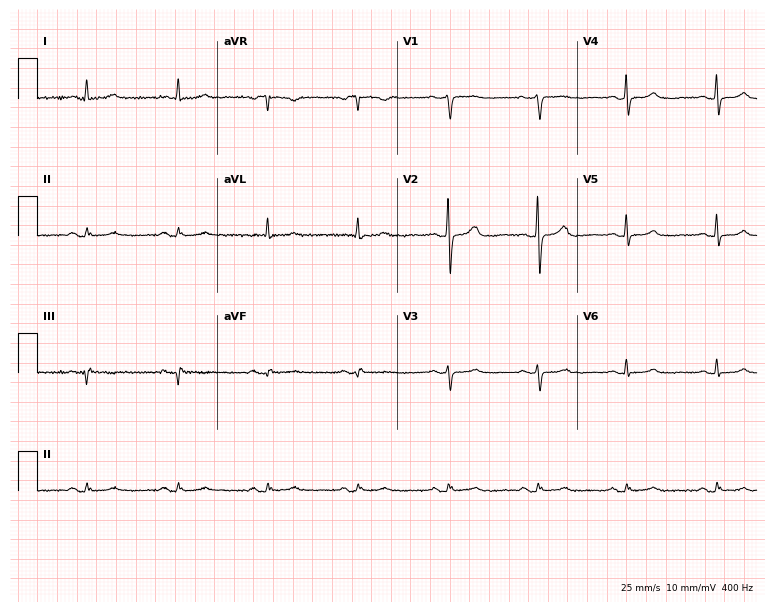
12-lead ECG from a female patient, 66 years old. No first-degree AV block, right bundle branch block, left bundle branch block, sinus bradycardia, atrial fibrillation or sinus tachycardia recorded for this tracing. Only these six findings were labelled.